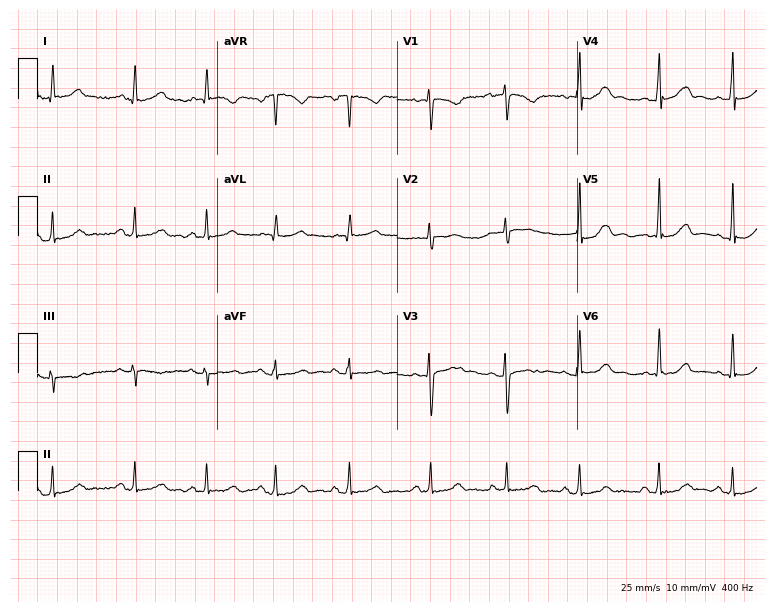
12-lead ECG from a 26-year-old female (7.3-second recording at 400 Hz). Recorded interpretation: within normal limits.